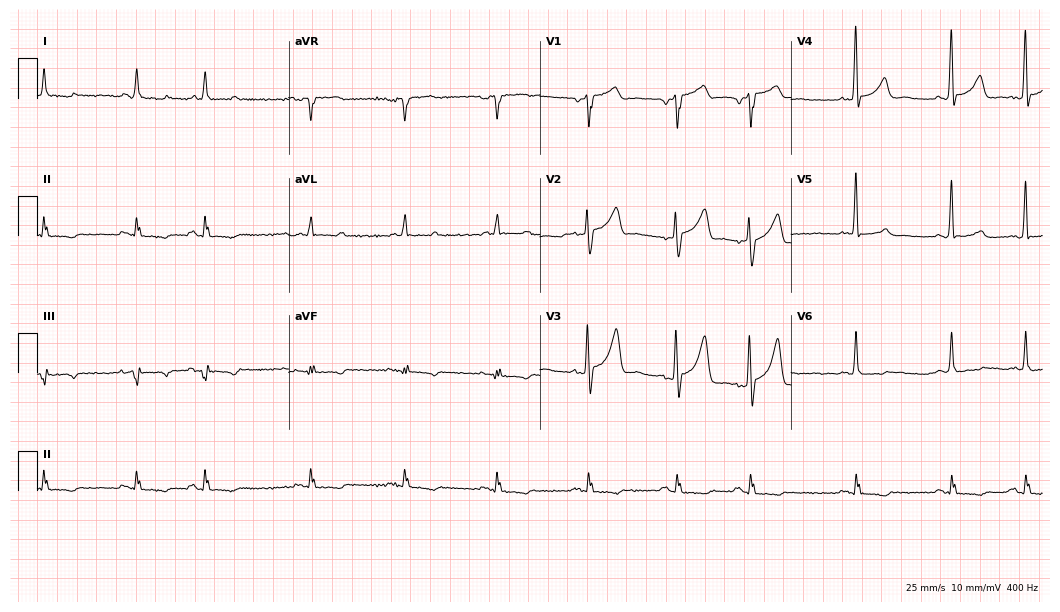
12-lead ECG (10.2-second recording at 400 Hz) from a 67-year-old man. Screened for six findings — first-degree AV block, right bundle branch block (RBBB), left bundle branch block (LBBB), sinus bradycardia, atrial fibrillation (AF), sinus tachycardia — none is recorded. Only these six findings were labelled.